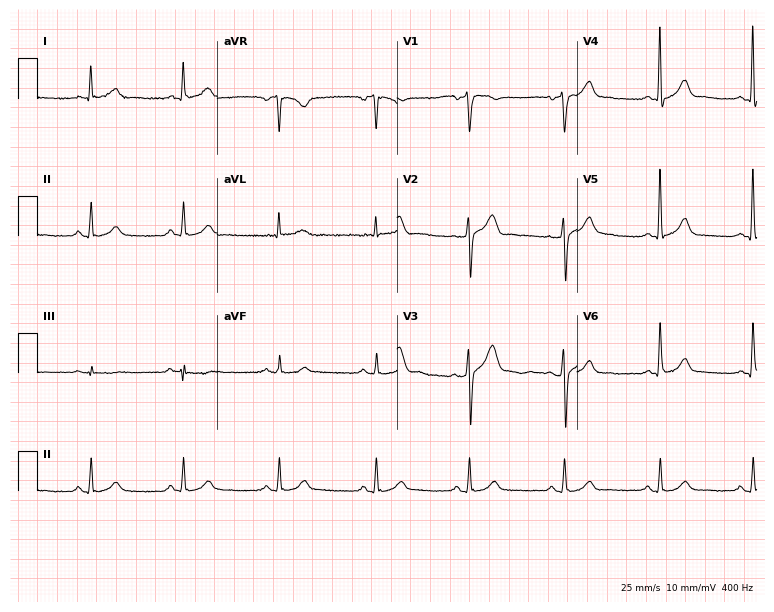
Resting 12-lead electrocardiogram. Patient: a male, 62 years old. Read as a normal ECG.